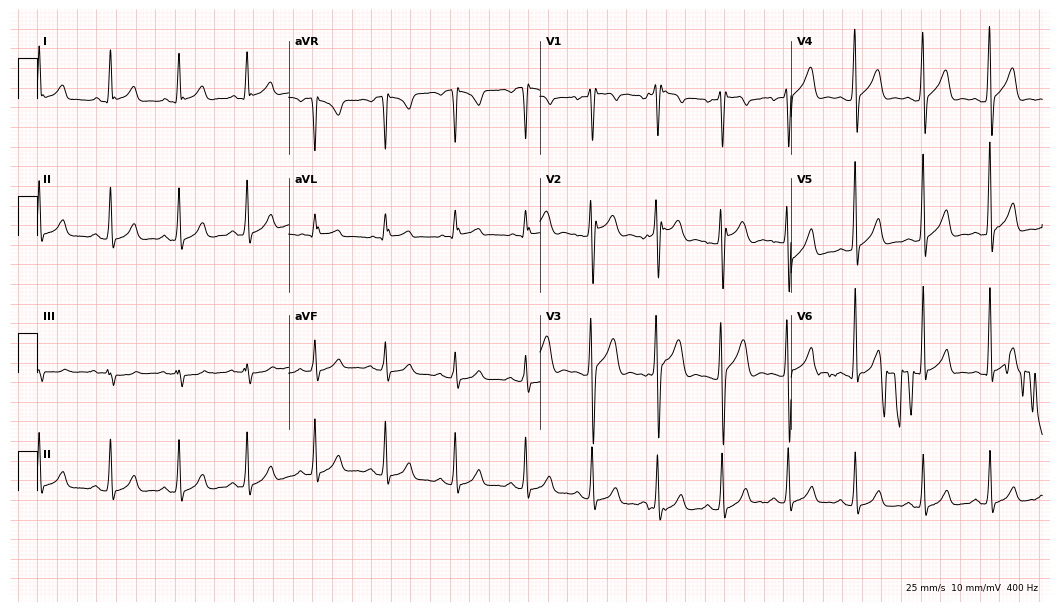
Standard 12-lead ECG recorded from a male, 29 years old. None of these six findings is recorded: first-degree AV block, right bundle branch block (RBBB), left bundle branch block (LBBB), sinus bradycardia, atrial fibrillation (AF), sinus tachycardia.